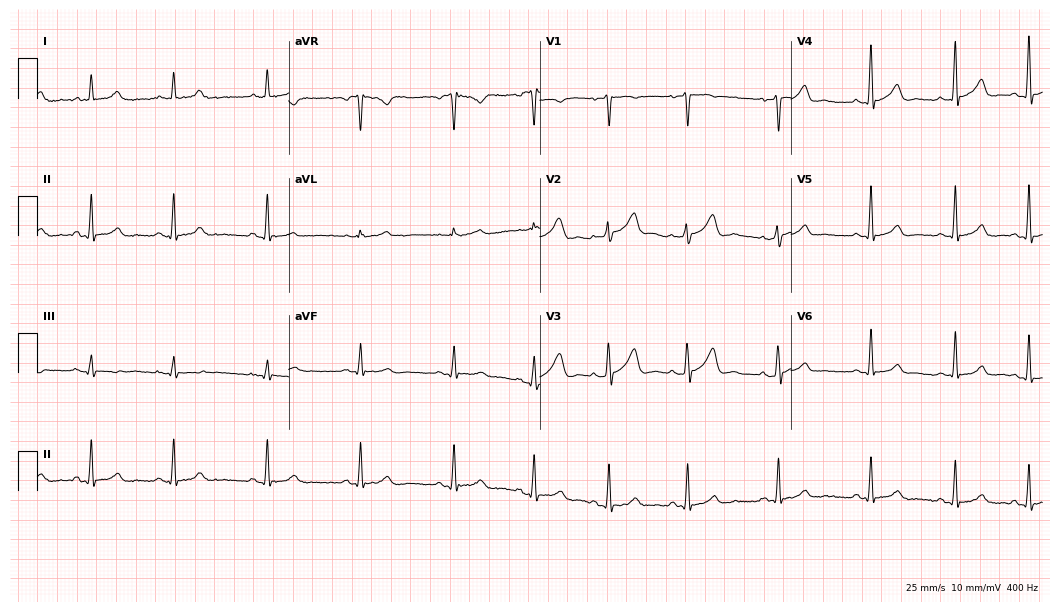
ECG — a female patient, 34 years old. Labelled as a normal ECG.